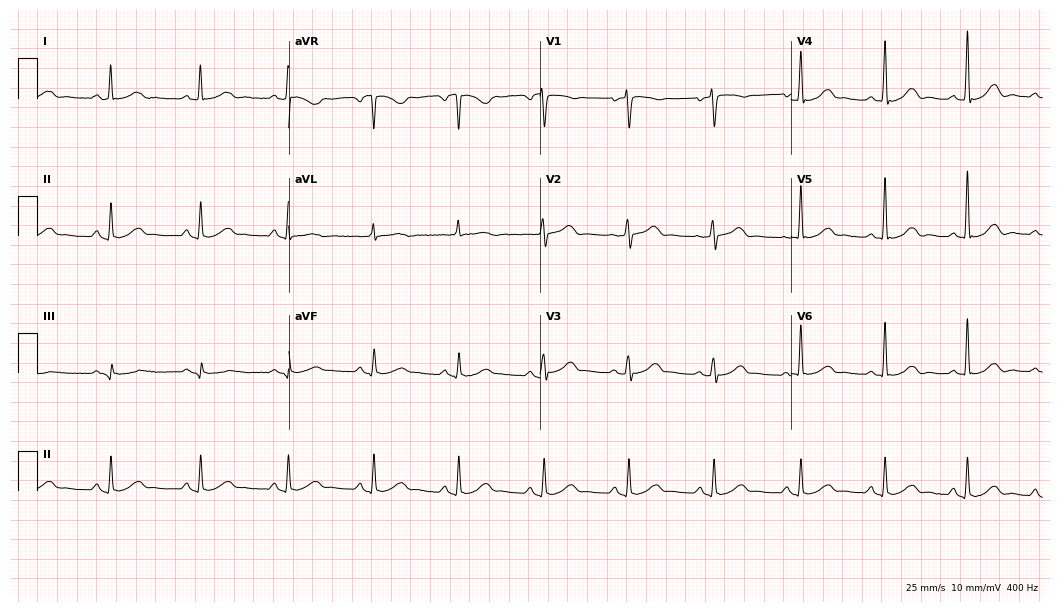
ECG — a female patient, 65 years old. Labelled as a normal ECG.